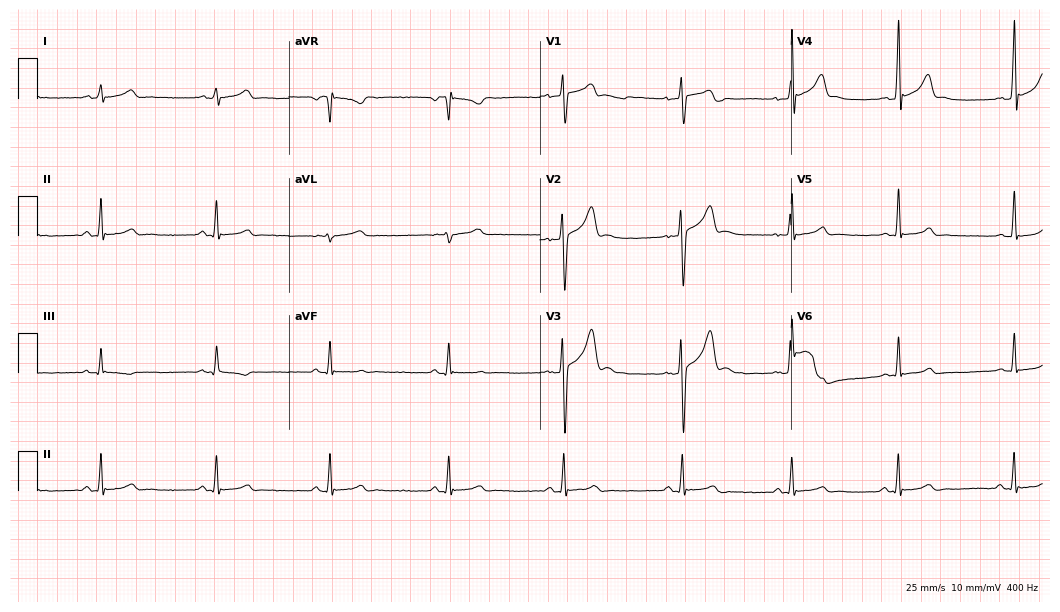
Electrocardiogram (10.2-second recording at 400 Hz), a male patient, 22 years old. Overall reading on record: normal ECG.